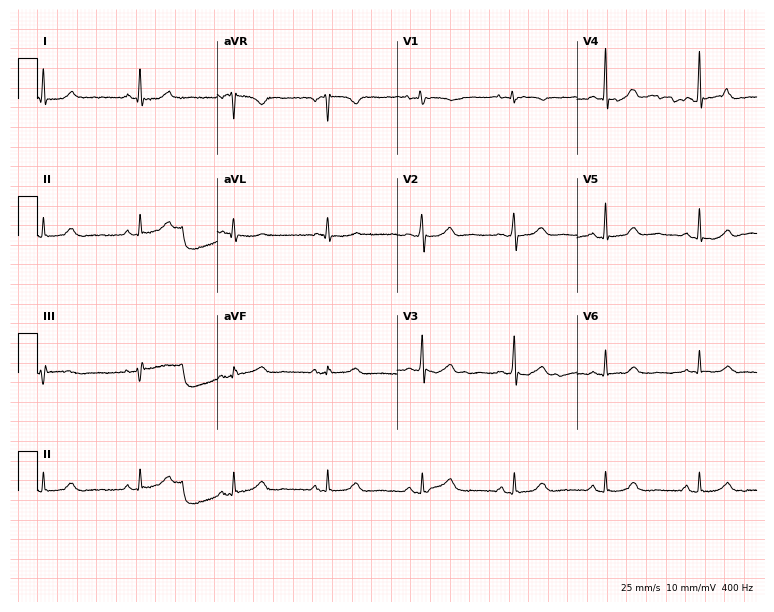
Electrocardiogram (7.3-second recording at 400 Hz), a 57-year-old female. Overall reading on record: normal ECG.